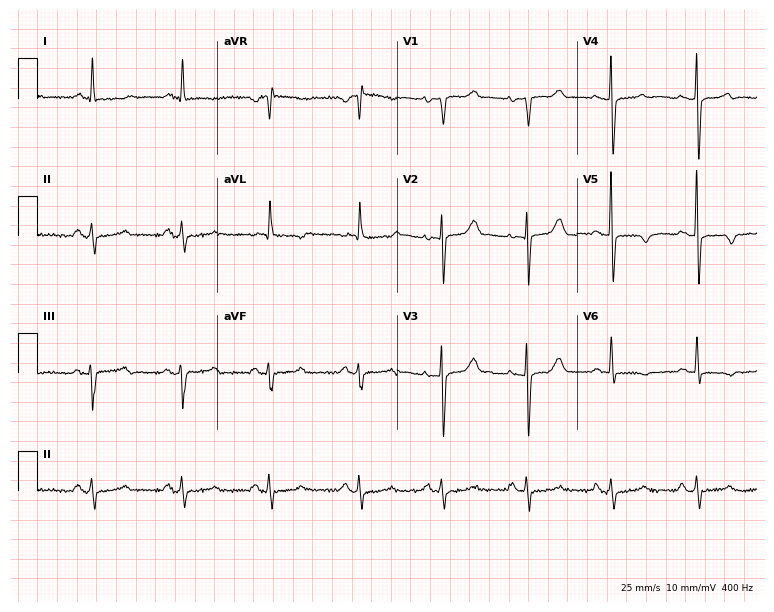
Electrocardiogram (7.3-second recording at 400 Hz), a female, 78 years old. Of the six screened findings (first-degree AV block, right bundle branch block, left bundle branch block, sinus bradycardia, atrial fibrillation, sinus tachycardia), none is recorded. Findings outside these six are not listed.